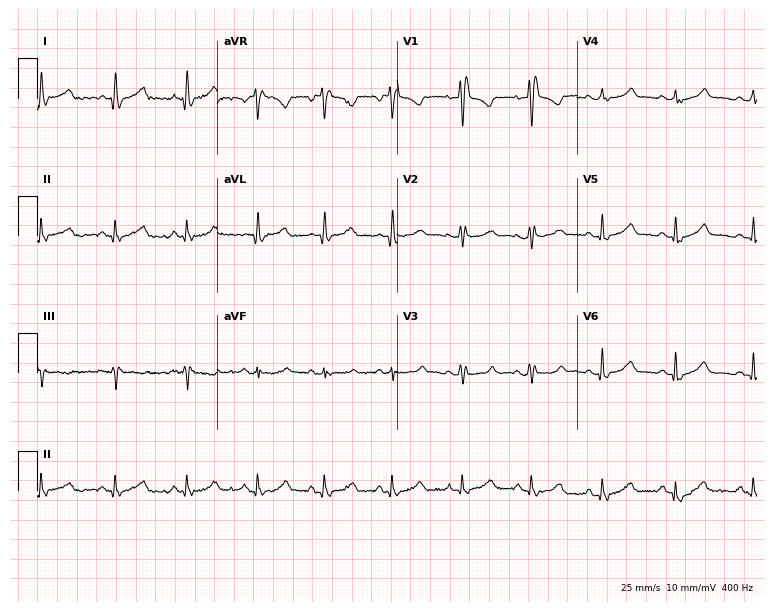
12-lead ECG from a 60-year-old woman (7.3-second recording at 400 Hz). Shows right bundle branch block.